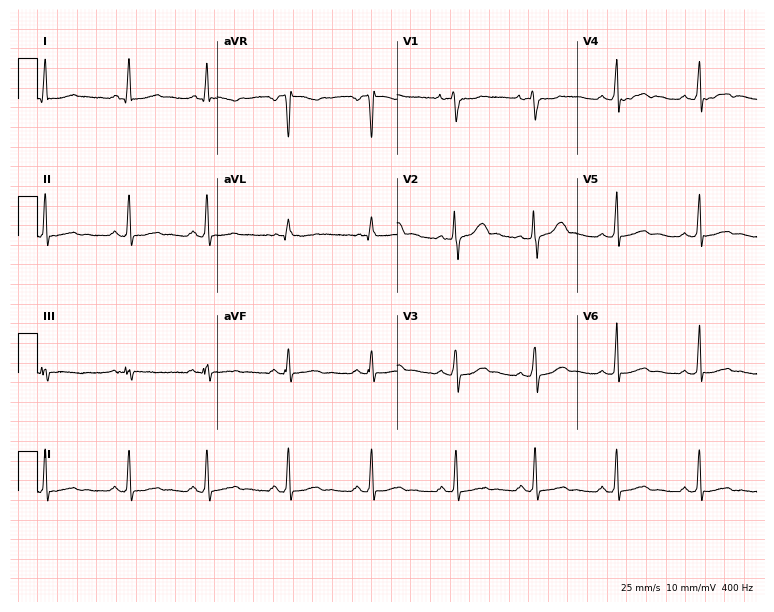
ECG — a 31-year-old woman. Screened for six findings — first-degree AV block, right bundle branch block, left bundle branch block, sinus bradycardia, atrial fibrillation, sinus tachycardia — none is recorded.